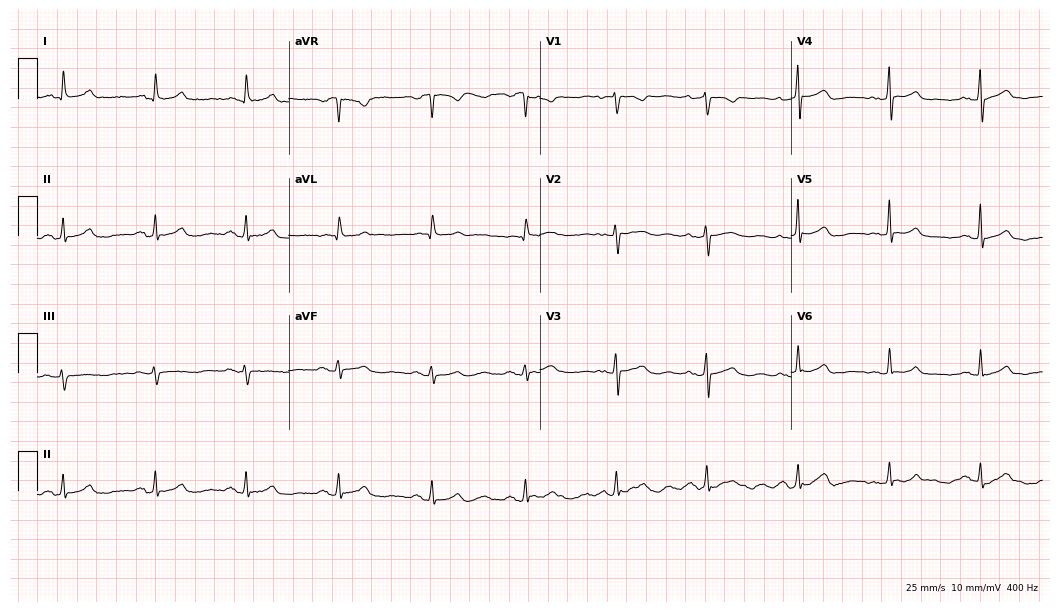
Resting 12-lead electrocardiogram (10.2-second recording at 400 Hz). Patient: a 68-year-old woman. Read as a normal ECG.